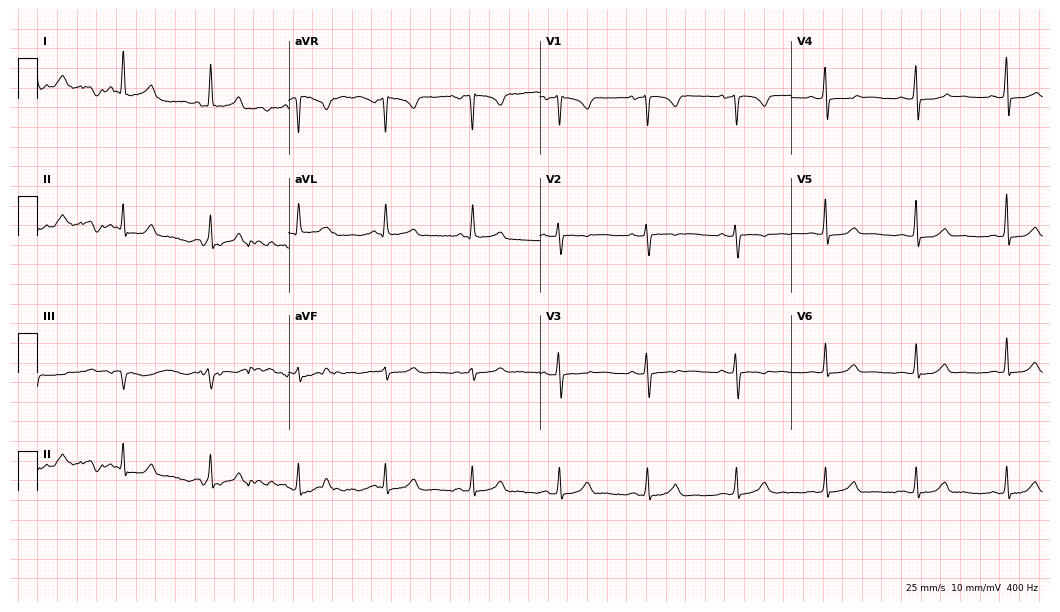
12-lead ECG (10.2-second recording at 400 Hz) from a 54-year-old female patient. Screened for six findings — first-degree AV block, right bundle branch block (RBBB), left bundle branch block (LBBB), sinus bradycardia, atrial fibrillation (AF), sinus tachycardia — none is recorded. Only these six findings were labelled.